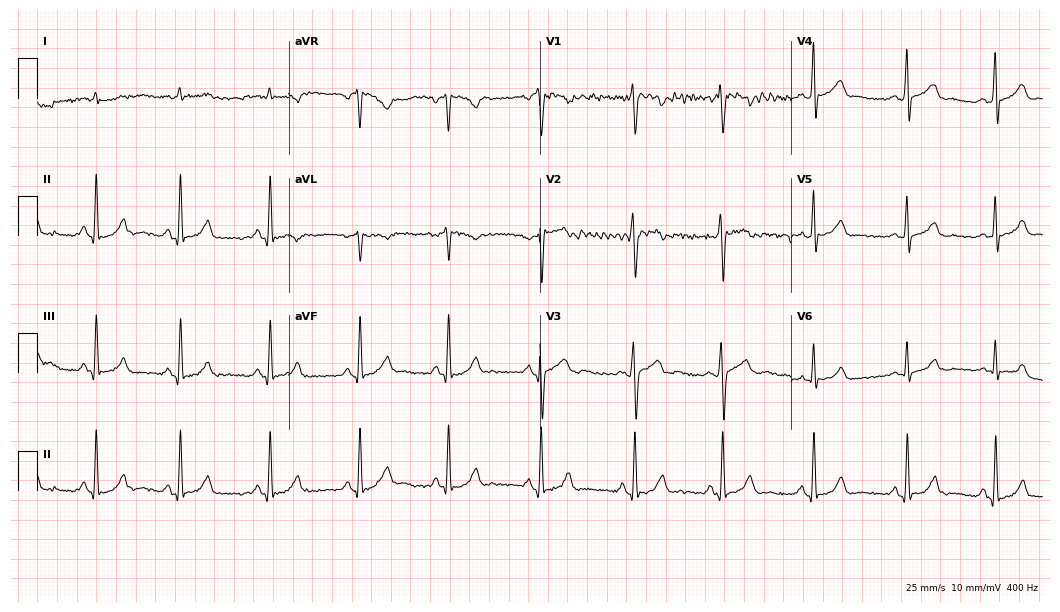
Electrocardiogram, a 26-year-old male patient. Overall reading on record: normal ECG.